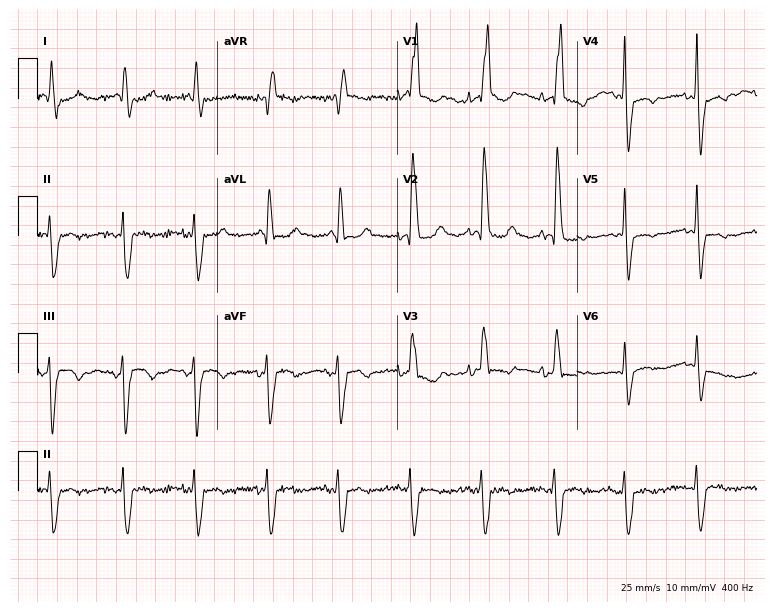
Electrocardiogram, an 87-year-old female. Interpretation includes right bundle branch block.